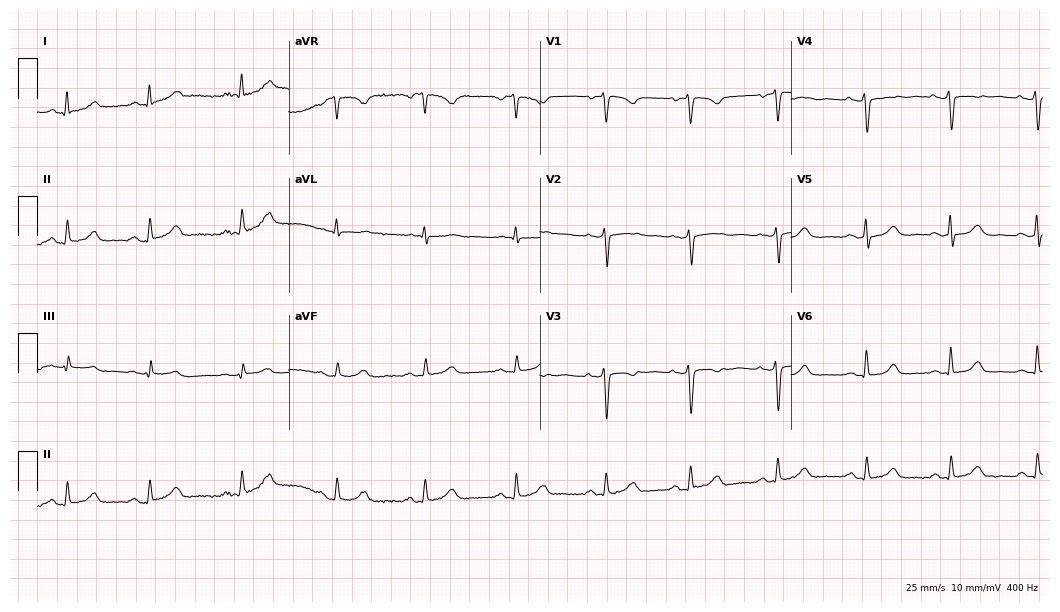
Resting 12-lead electrocardiogram (10.2-second recording at 400 Hz). Patient: a 39-year-old female. None of these six findings is recorded: first-degree AV block, right bundle branch block, left bundle branch block, sinus bradycardia, atrial fibrillation, sinus tachycardia. Other findings, if any, are not listed.